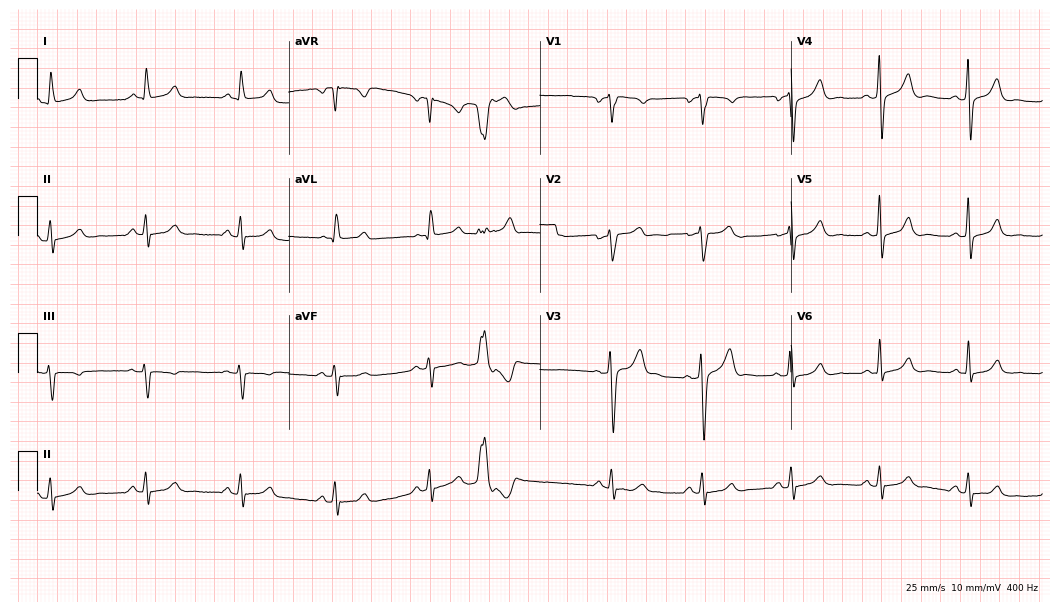
ECG — a 61-year-old male patient. Labelled as a normal ECG.